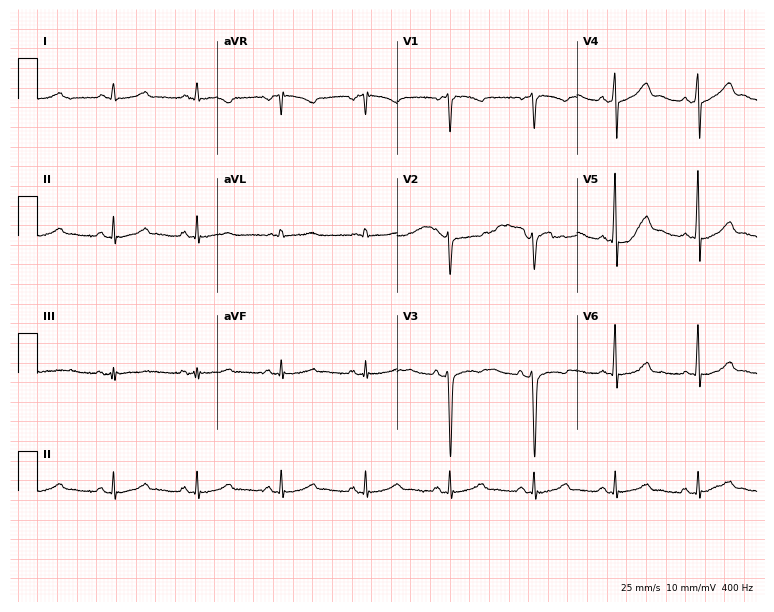
Electrocardiogram, a woman, 41 years old. Overall reading on record: normal ECG.